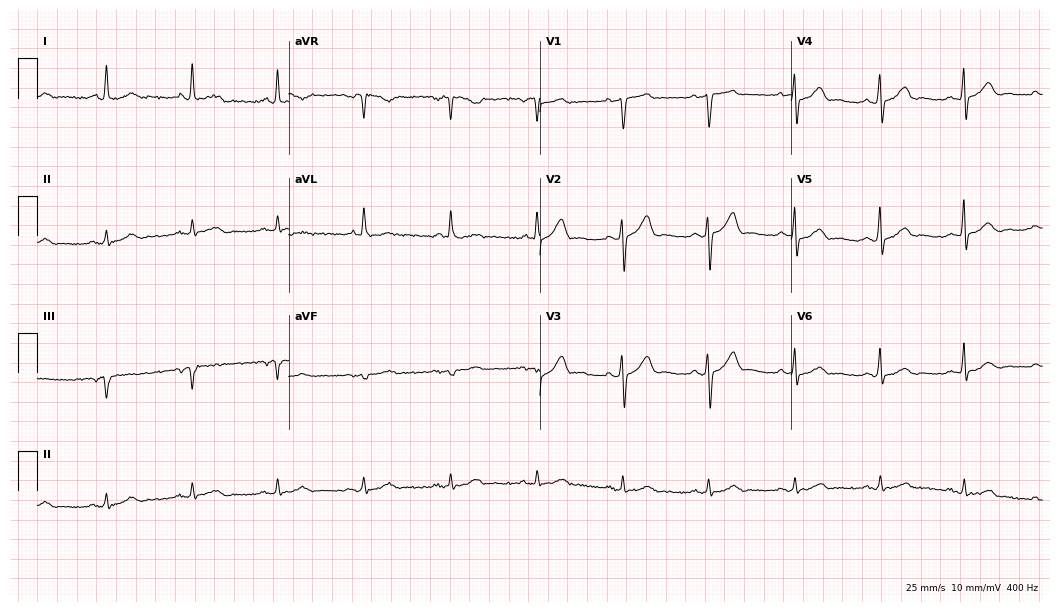
Electrocardiogram, a male, 63 years old. Overall reading on record: normal ECG.